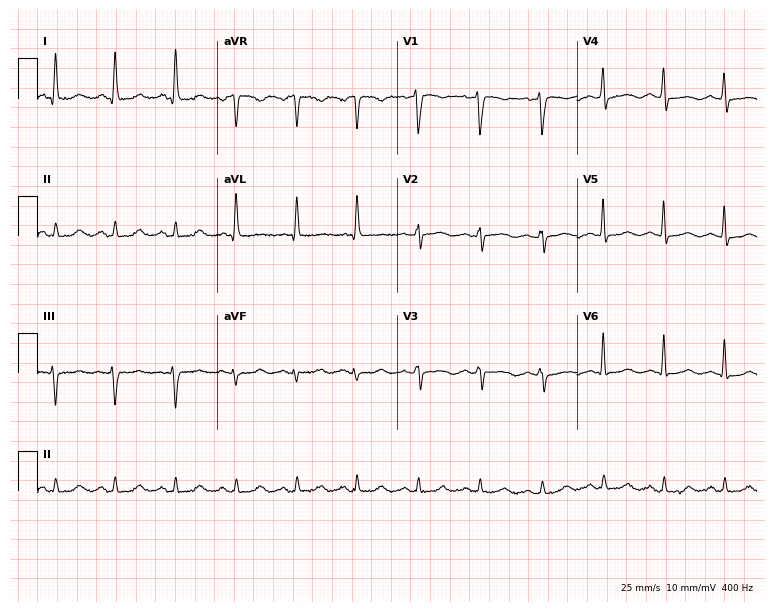
Resting 12-lead electrocardiogram (7.3-second recording at 400 Hz). Patient: a woman, 63 years old. None of these six findings is recorded: first-degree AV block, right bundle branch block (RBBB), left bundle branch block (LBBB), sinus bradycardia, atrial fibrillation (AF), sinus tachycardia. Only these six findings were labelled.